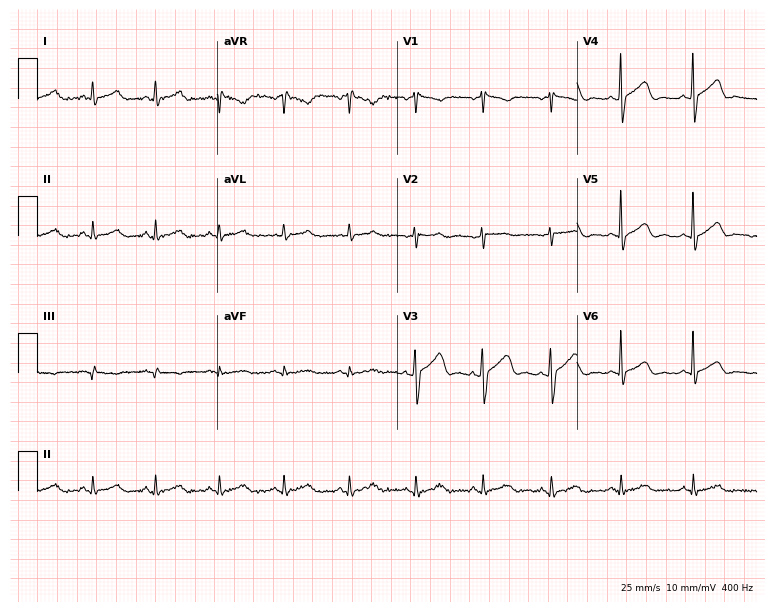
ECG — a male patient, 51 years old. Labelled as a normal ECG.